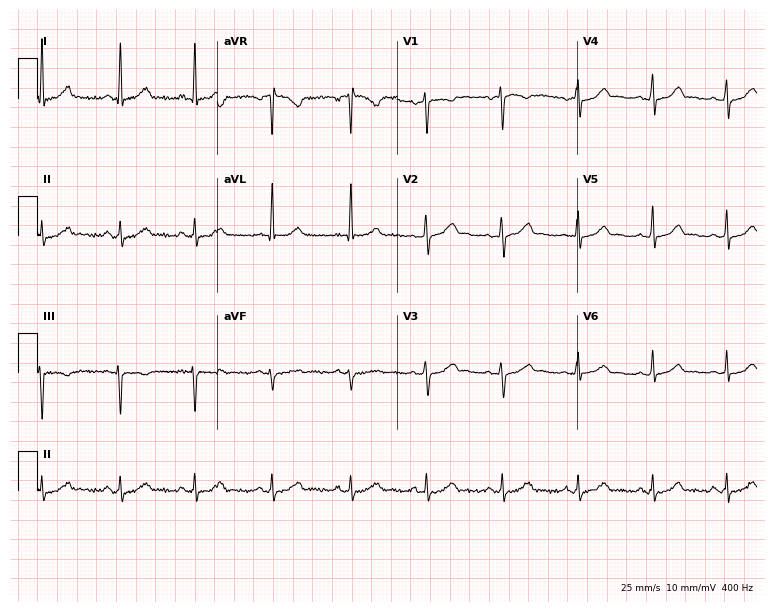
Standard 12-lead ECG recorded from a 38-year-old woman. Read as a normal ECG.